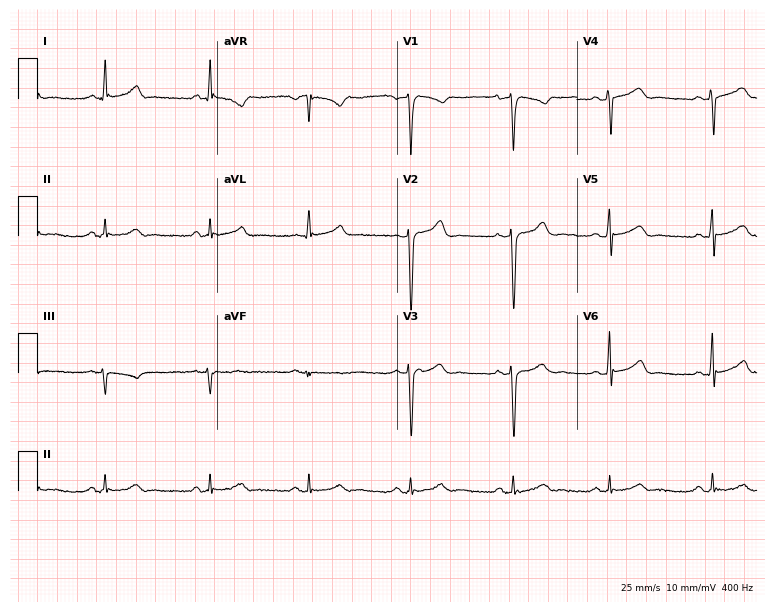
12-lead ECG from a 46-year-old male (7.3-second recording at 400 Hz). Recorded interpretation: within normal limits.